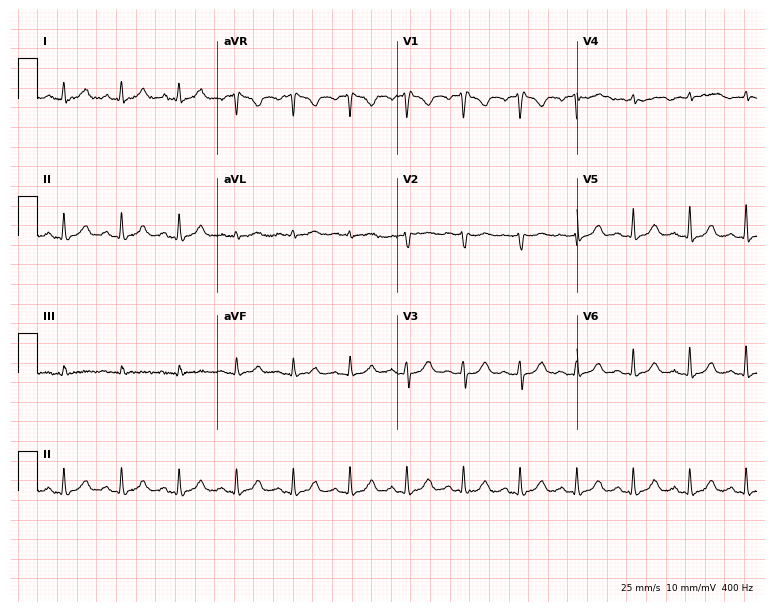
Standard 12-lead ECG recorded from a female patient, 42 years old (7.3-second recording at 400 Hz). The tracing shows sinus tachycardia (a sinus rate of 100 beats per minute or more).